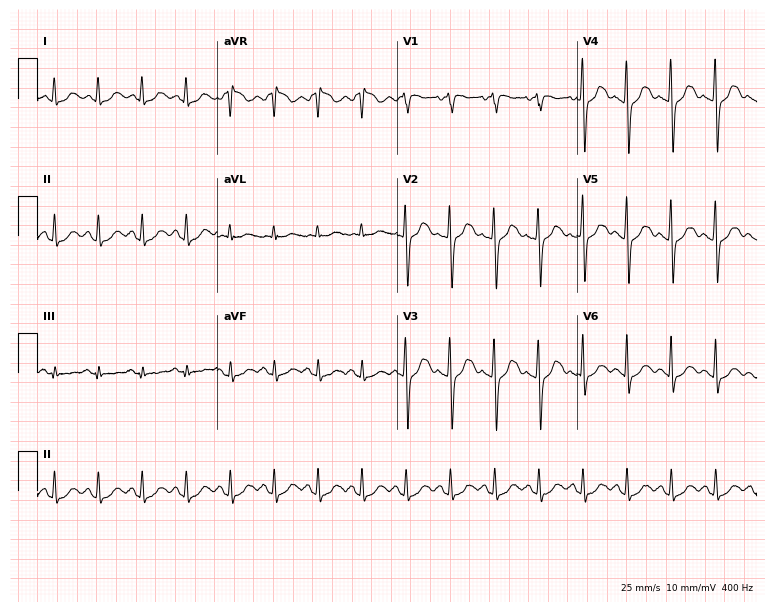
Resting 12-lead electrocardiogram (7.3-second recording at 400 Hz). Patient: a 47-year-old female. The tracing shows sinus tachycardia (a sinus rate of 100 beats per minute or more).